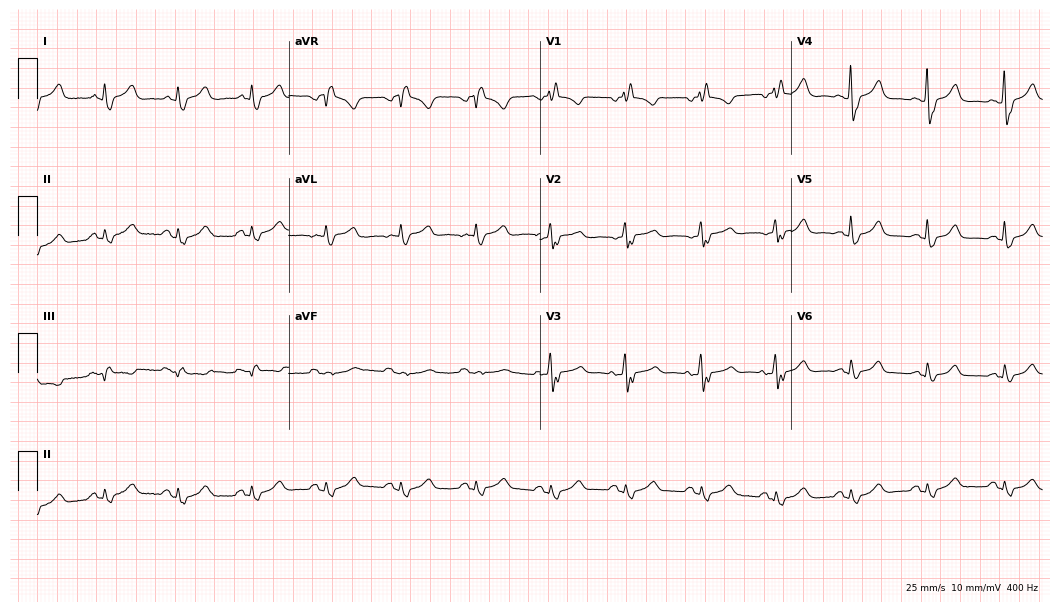
Electrocardiogram, a 66-year-old woman. Interpretation includes right bundle branch block (RBBB).